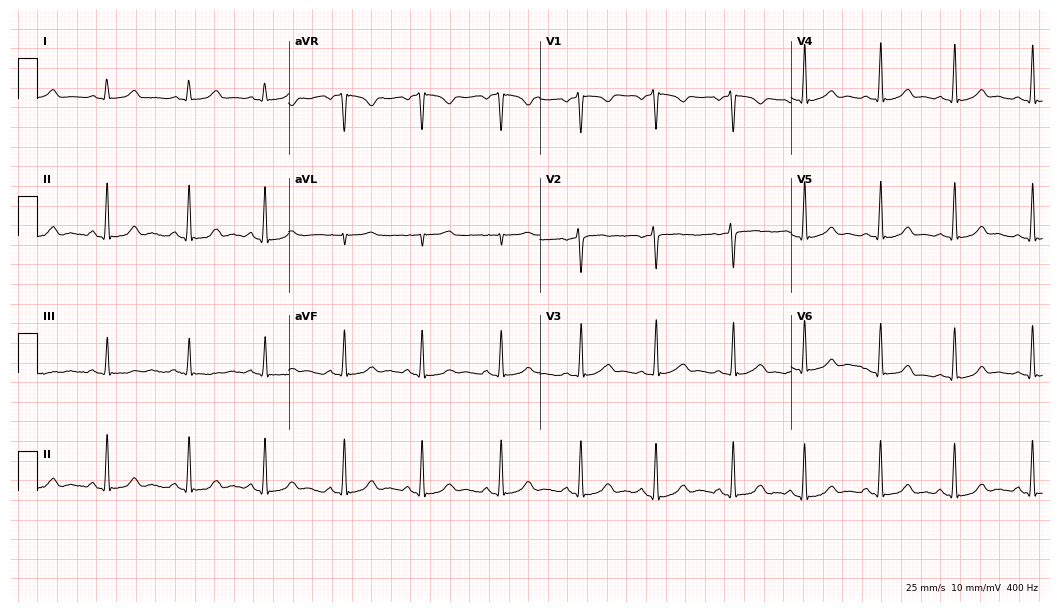
Electrocardiogram (10.2-second recording at 400 Hz), a 20-year-old woman. Of the six screened findings (first-degree AV block, right bundle branch block (RBBB), left bundle branch block (LBBB), sinus bradycardia, atrial fibrillation (AF), sinus tachycardia), none is recorded. Findings outside these six are not listed.